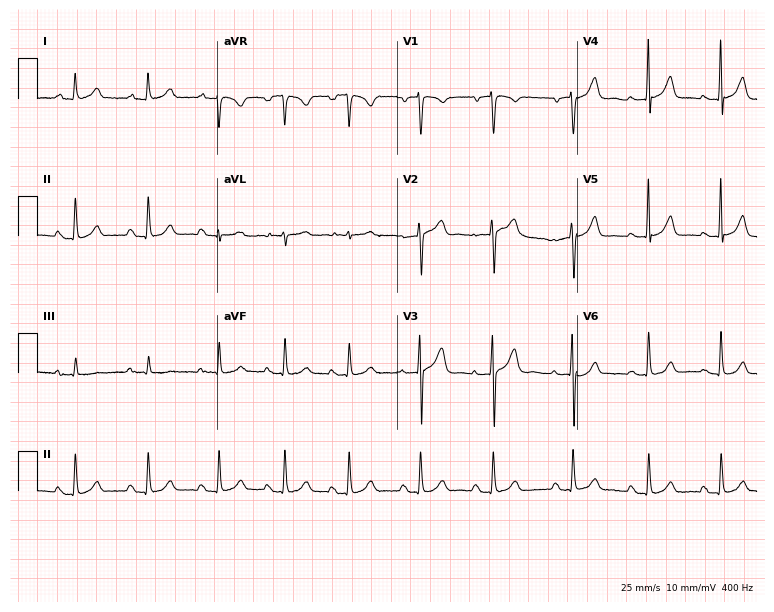
Resting 12-lead electrocardiogram. Patient: a female, 43 years old. Read as a normal ECG.